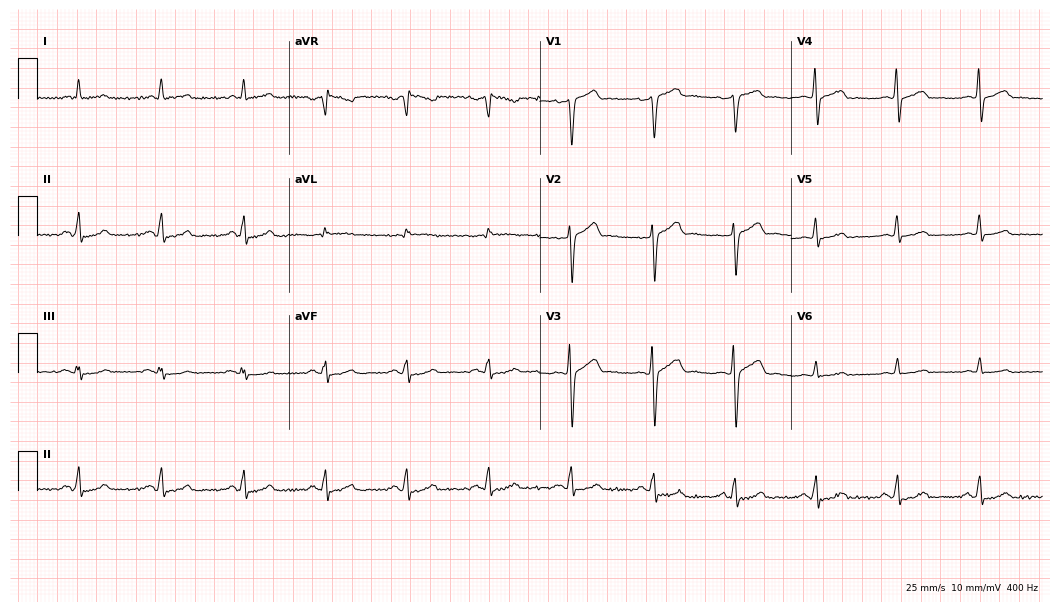
Resting 12-lead electrocardiogram. Patient: a man, 64 years old. Read as a normal ECG.